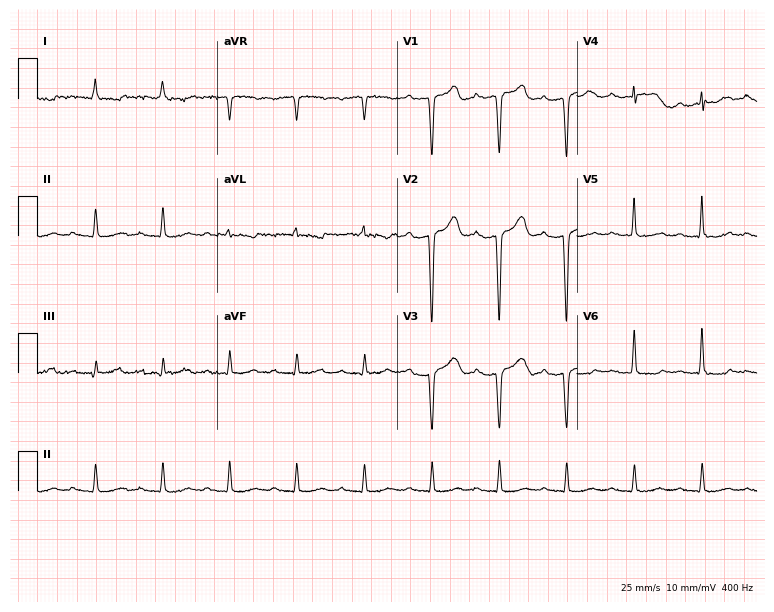
12-lead ECG (7.3-second recording at 400 Hz) from a 79-year-old male patient. Findings include first-degree AV block.